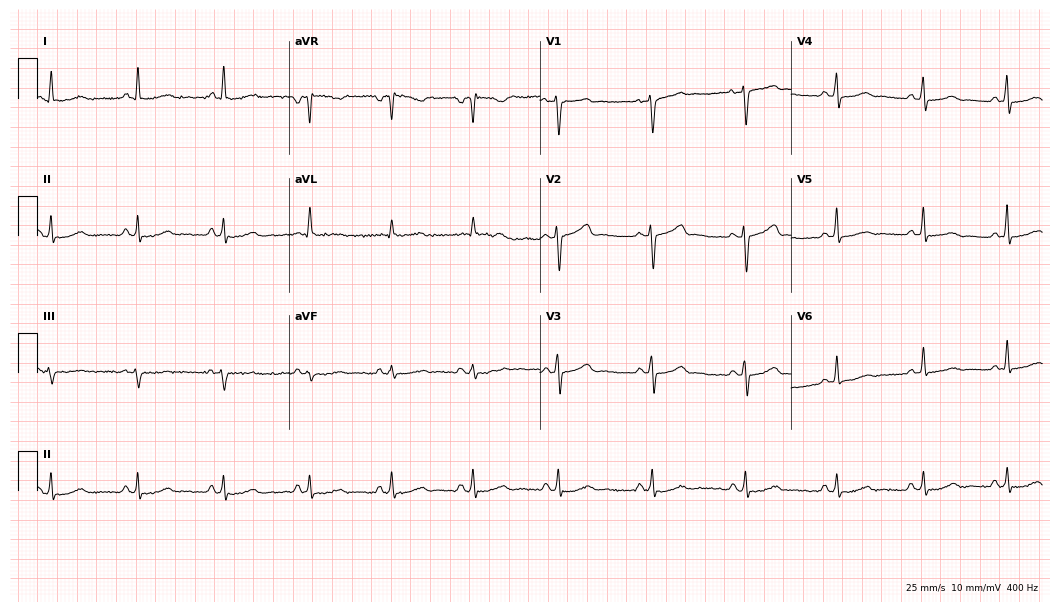
Resting 12-lead electrocardiogram (10.2-second recording at 400 Hz). Patient: a 51-year-old female. None of these six findings is recorded: first-degree AV block, right bundle branch block, left bundle branch block, sinus bradycardia, atrial fibrillation, sinus tachycardia.